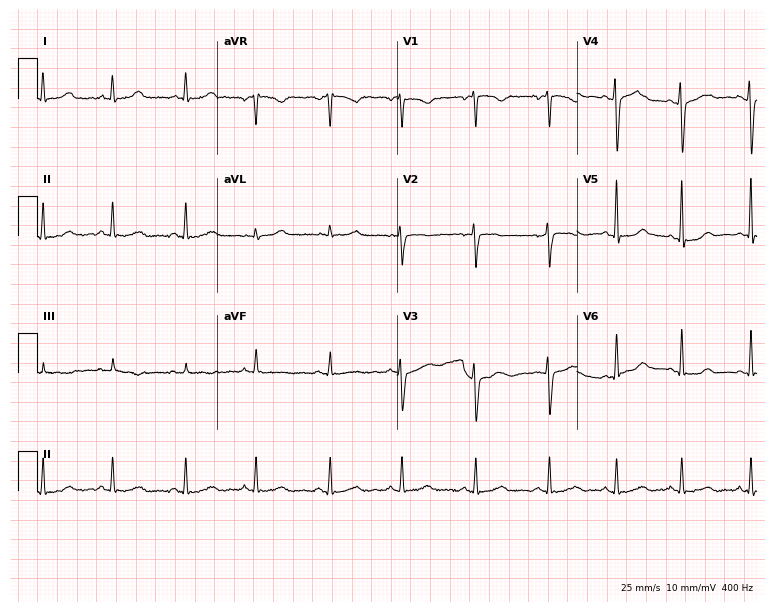
Electrocardiogram, a 17-year-old female patient. Of the six screened findings (first-degree AV block, right bundle branch block (RBBB), left bundle branch block (LBBB), sinus bradycardia, atrial fibrillation (AF), sinus tachycardia), none is recorded.